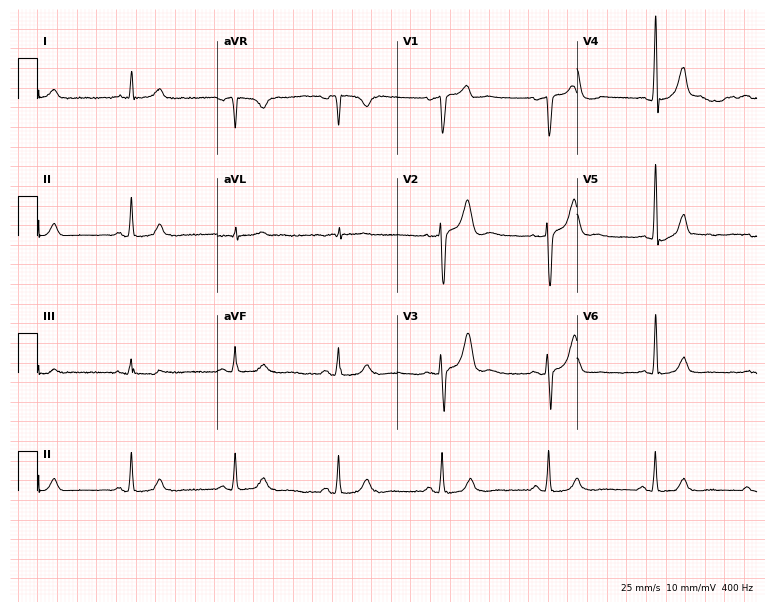
Standard 12-lead ECG recorded from a female patient, 60 years old (7.3-second recording at 400 Hz). Read as a normal ECG.